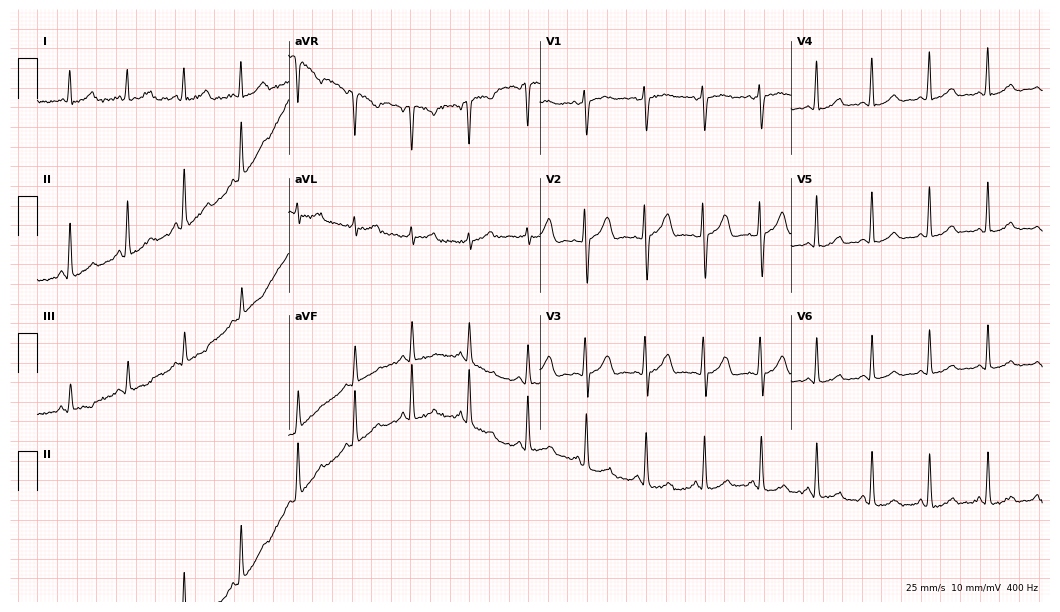
12-lead ECG from a female patient, 34 years old. No first-degree AV block, right bundle branch block, left bundle branch block, sinus bradycardia, atrial fibrillation or sinus tachycardia recorded for this tracing.